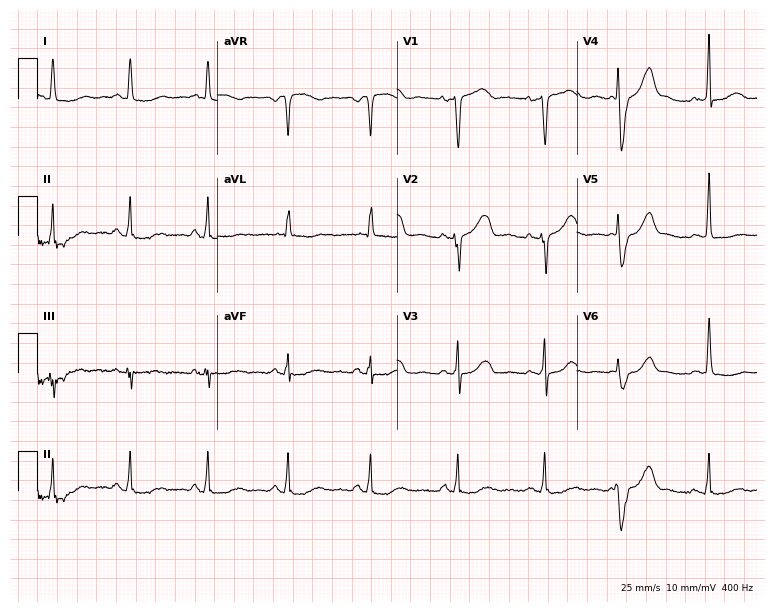
12-lead ECG (7.3-second recording at 400 Hz) from a 57-year-old woman. Labelled as a normal ECG.